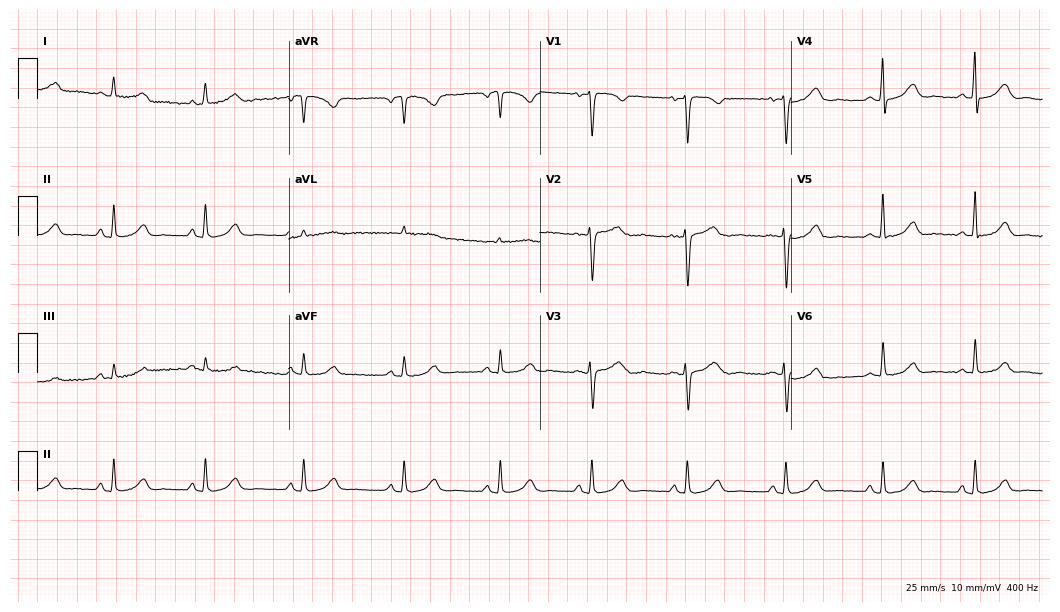
12-lead ECG from a 47-year-old female patient. Recorded interpretation: within normal limits.